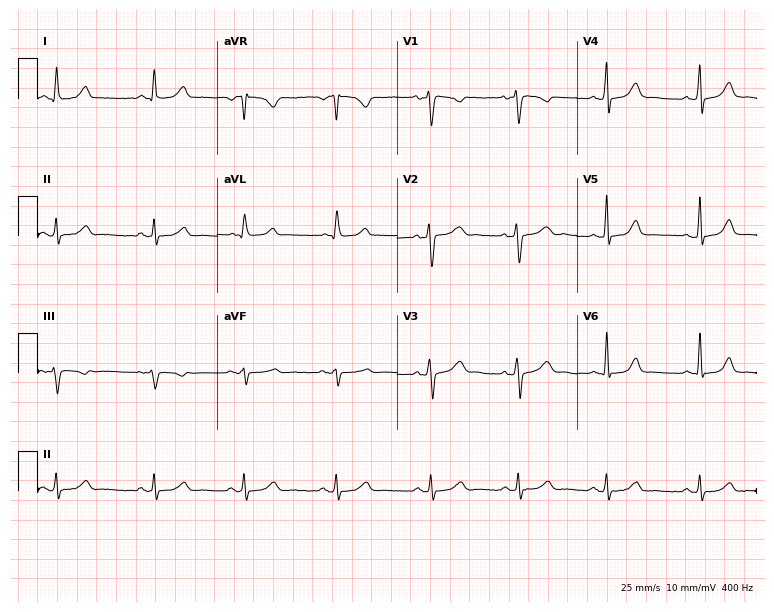
Standard 12-lead ECG recorded from a 43-year-old woman (7.3-second recording at 400 Hz). None of these six findings is recorded: first-degree AV block, right bundle branch block, left bundle branch block, sinus bradycardia, atrial fibrillation, sinus tachycardia. Other findings, if any, are not listed.